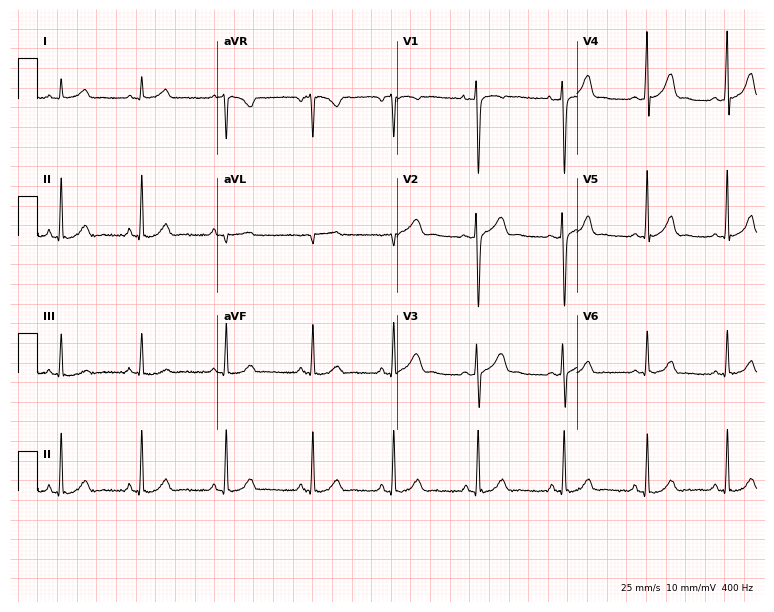
12-lead ECG from a female patient, 25 years old. Screened for six findings — first-degree AV block, right bundle branch block (RBBB), left bundle branch block (LBBB), sinus bradycardia, atrial fibrillation (AF), sinus tachycardia — none is recorded. Other findings, if any, are not listed.